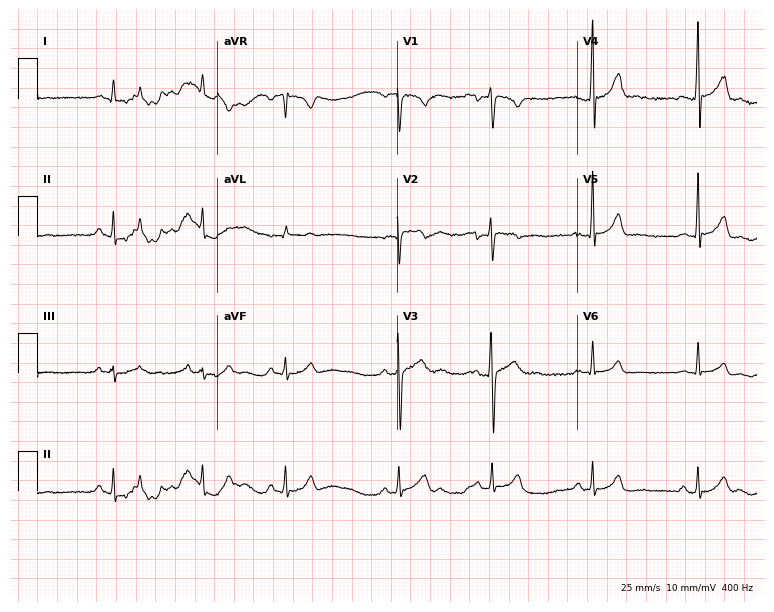
12-lead ECG from a man, 19 years old. Screened for six findings — first-degree AV block, right bundle branch block (RBBB), left bundle branch block (LBBB), sinus bradycardia, atrial fibrillation (AF), sinus tachycardia — none is recorded. Other findings, if any, are not listed.